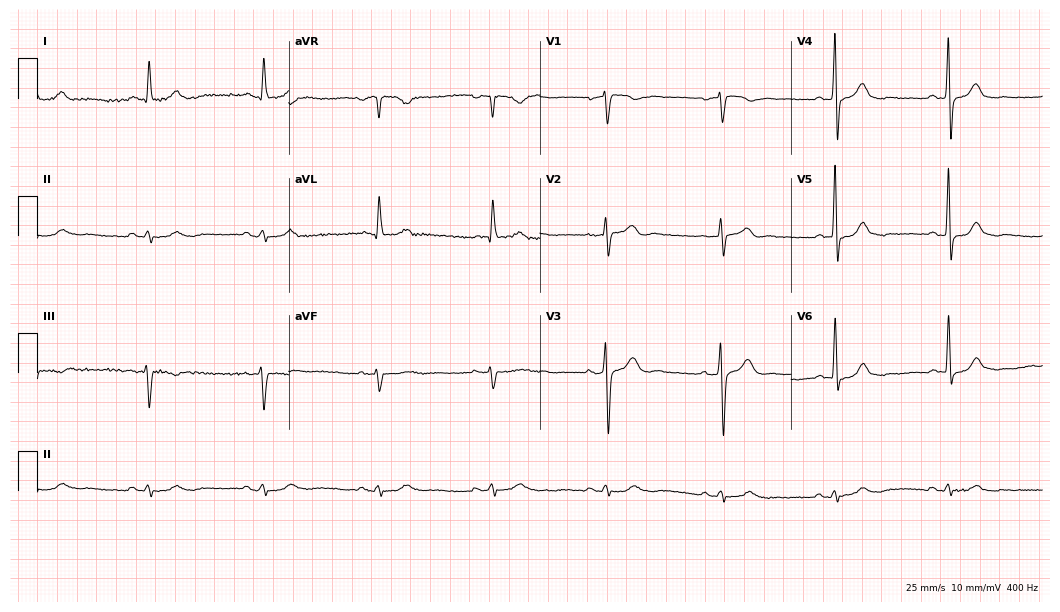
Standard 12-lead ECG recorded from a male, 76 years old (10.2-second recording at 400 Hz). None of these six findings is recorded: first-degree AV block, right bundle branch block, left bundle branch block, sinus bradycardia, atrial fibrillation, sinus tachycardia.